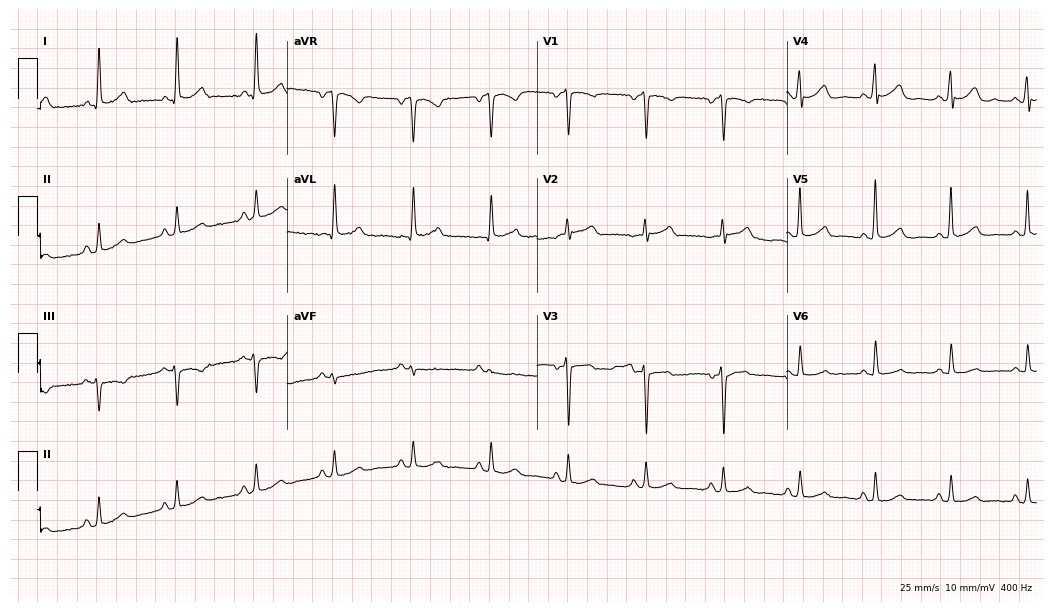
12-lead ECG from a 67-year-old man (10.2-second recording at 400 Hz). Recorded interpretation: within normal limits.